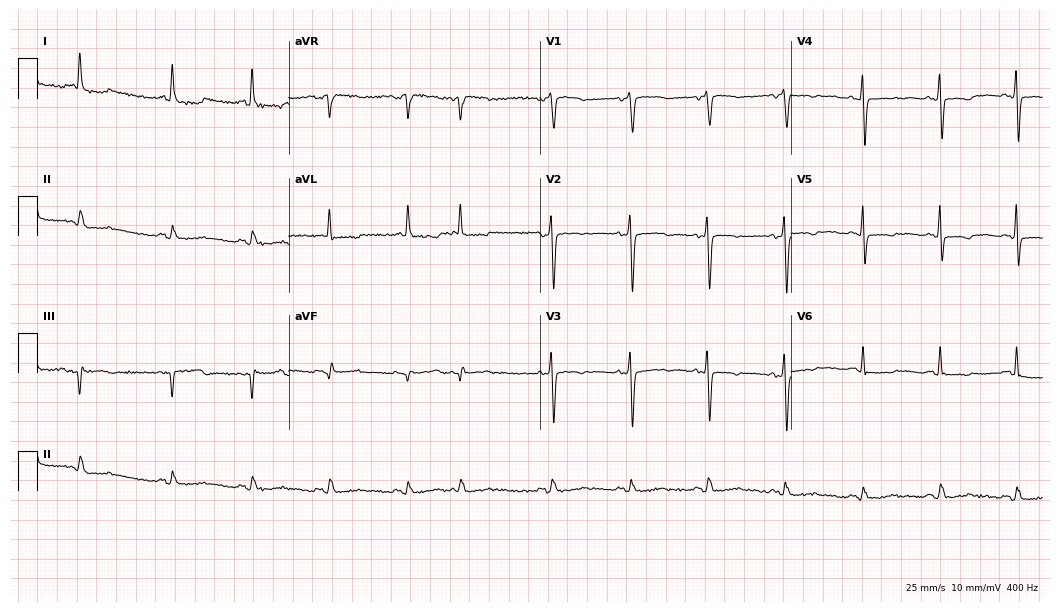
12-lead ECG from a woman, 80 years old. Screened for six findings — first-degree AV block, right bundle branch block, left bundle branch block, sinus bradycardia, atrial fibrillation, sinus tachycardia — none is recorded.